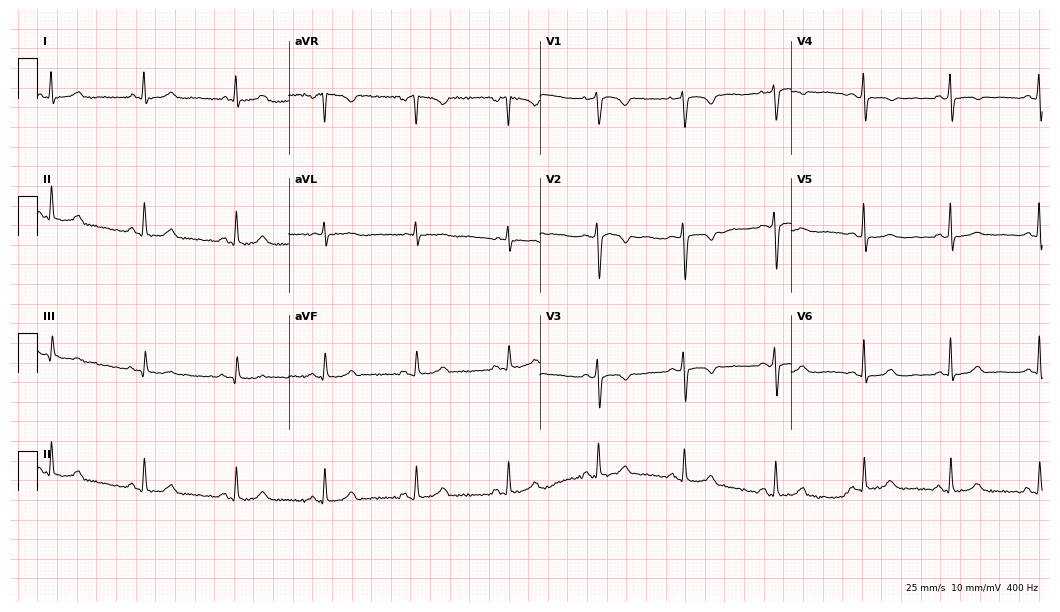
12-lead ECG from a male, 30 years old. Screened for six findings — first-degree AV block, right bundle branch block, left bundle branch block, sinus bradycardia, atrial fibrillation, sinus tachycardia — none is recorded.